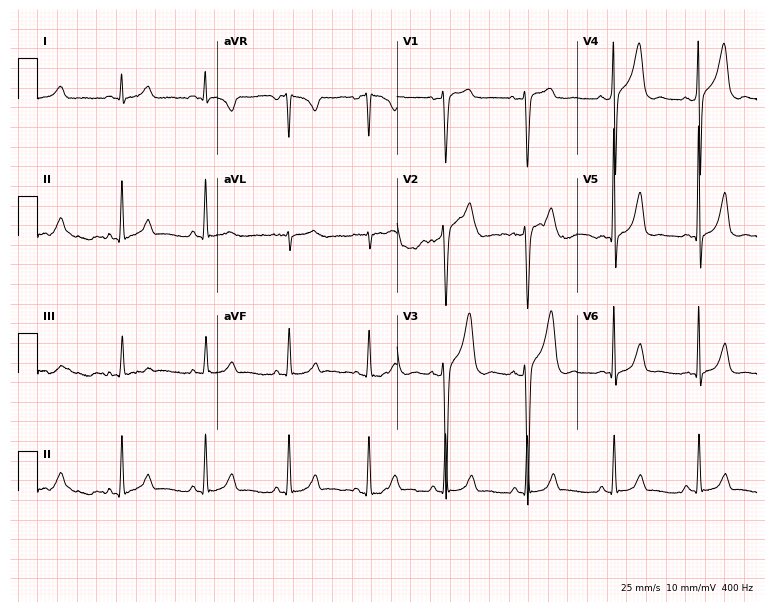
12-lead ECG (7.3-second recording at 400 Hz) from a male, 32 years old. Labelled as a normal ECG.